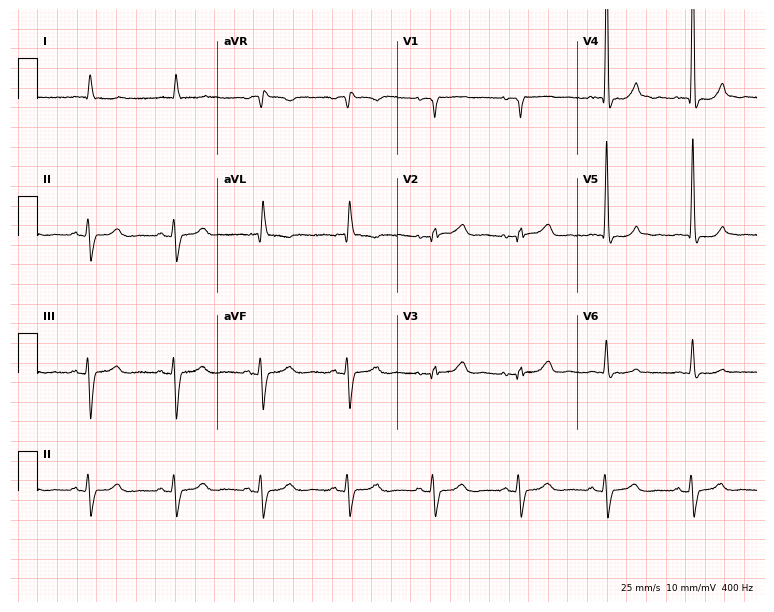
Resting 12-lead electrocardiogram (7.3-second recording at 400 Hz). Patient: a 71-year-old female. None of these six findings is recorded: first-degree AV block, right bundle branch block, left bundle branch block, sinus bradycardia, atrial fibrillation, sinus tachycardia. Only these six findings were labelled.